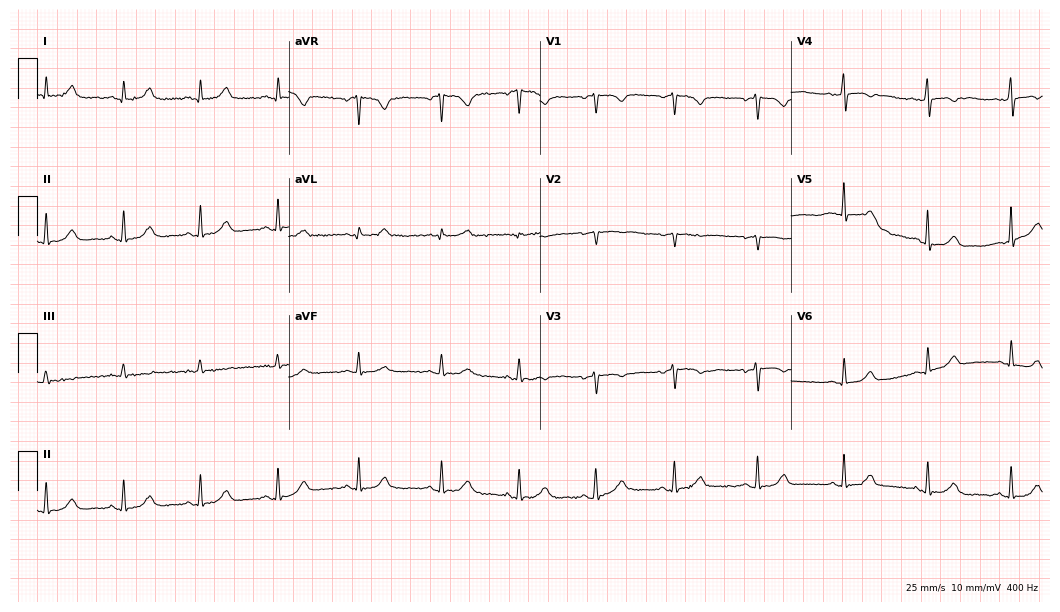
Standard 12-lead ECG recorded from a woman, 36 years old. Read as a normal ECG.